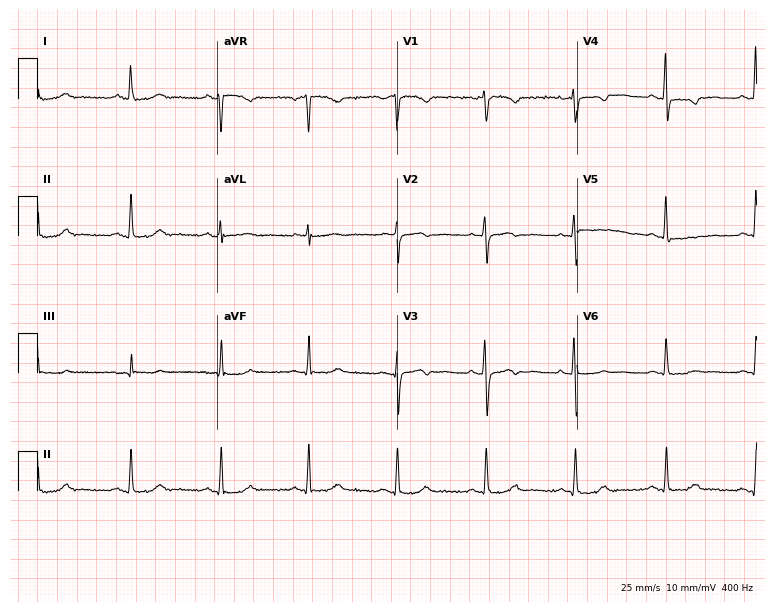
12-lead ECG from a 50-year-old woman. Screened for six findings — first-degree AV block, right bundle branch block (RBBB), left bundle branch block (LBBB), sinus bradycardia, atrial fibrillation (AF), sinus tachycardia — none is recorded. Only these six findings were labelled.